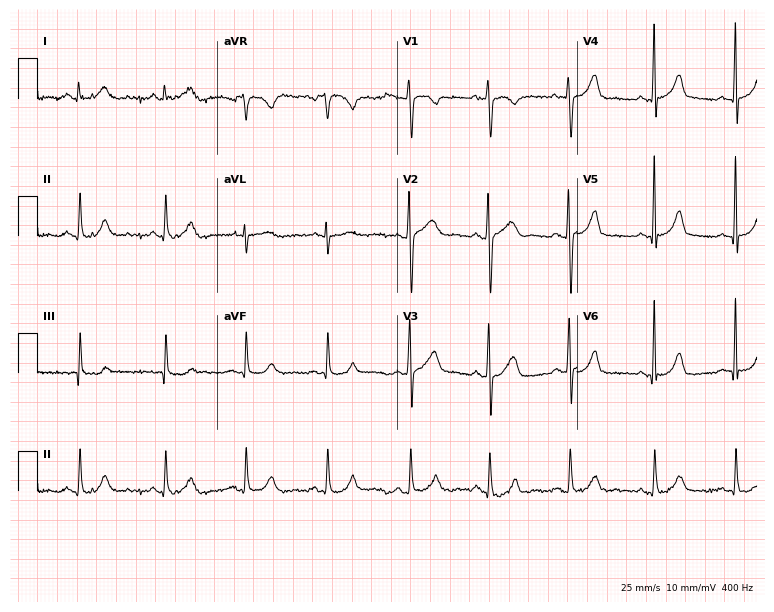
12-lead ECG from a 20-year-old female. Recorded interpretation: within normal limits.